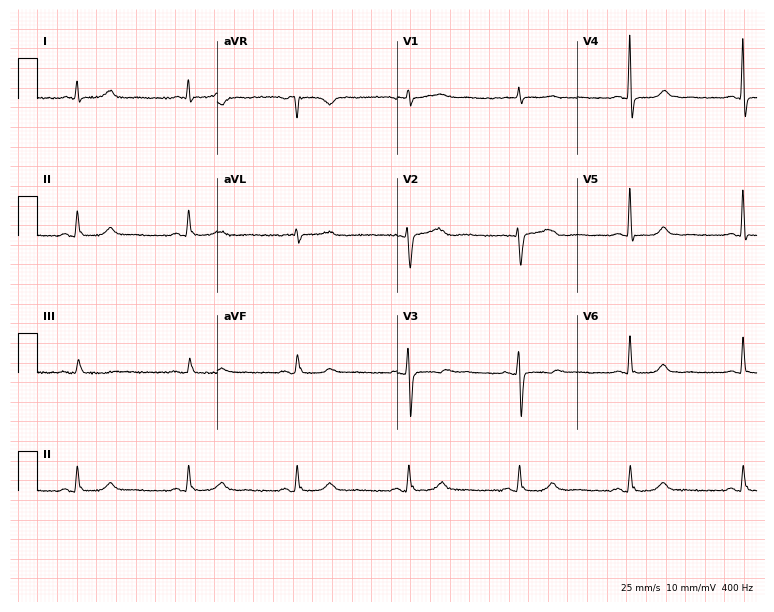
Resting 12-lead electrocardiogram (7.3-second recording at 400 Hz). Patient: a female, 56 years old. Read as a normal ECG.